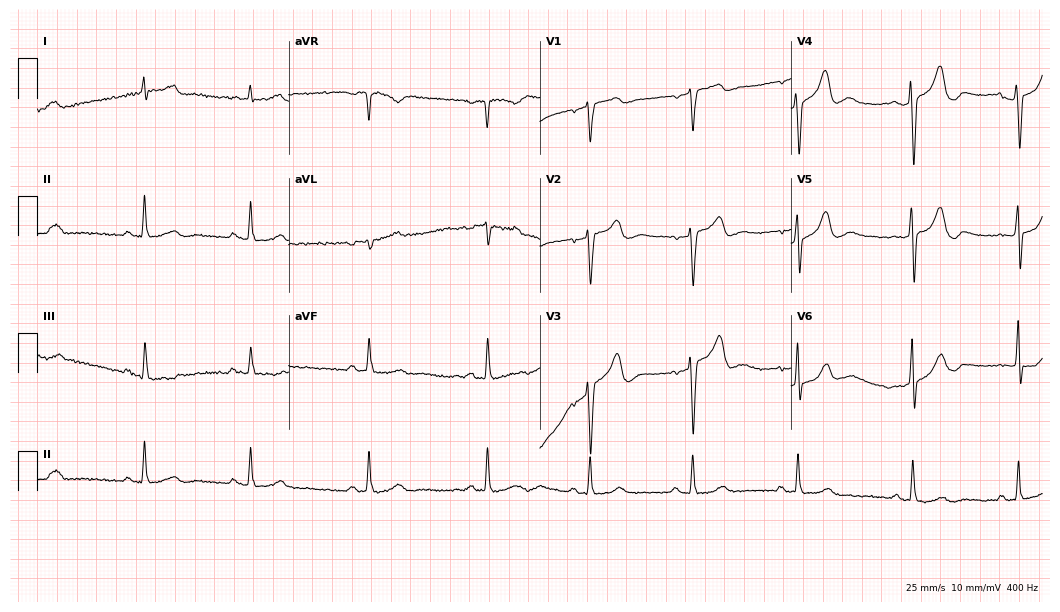
Electrocardiogram (10.2-second recording at 400 Hz), a 70-year-old male patient. Of the six screened findings (first-degree AV block, right bundle branch block, left bundle branch block, sinus bradycardia, atrial fibrillation, sinus tachycardia), none is recorded. Only these six findings were labelled.